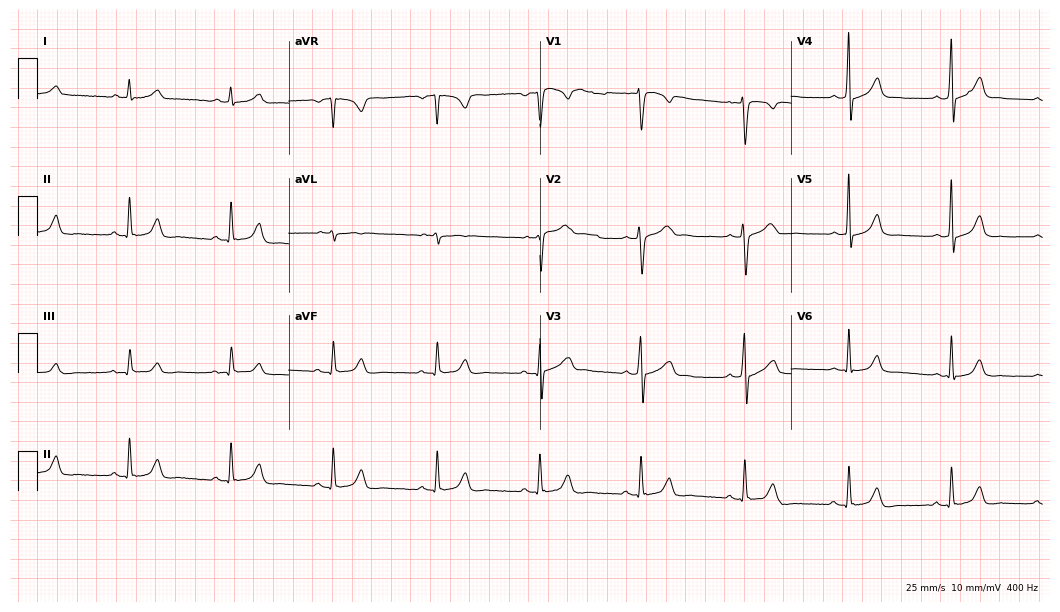
12-lead ECG from a 43-year-old male patient (10.2-second recording at 400 Hz). Recorded interpretation: within normal limits.